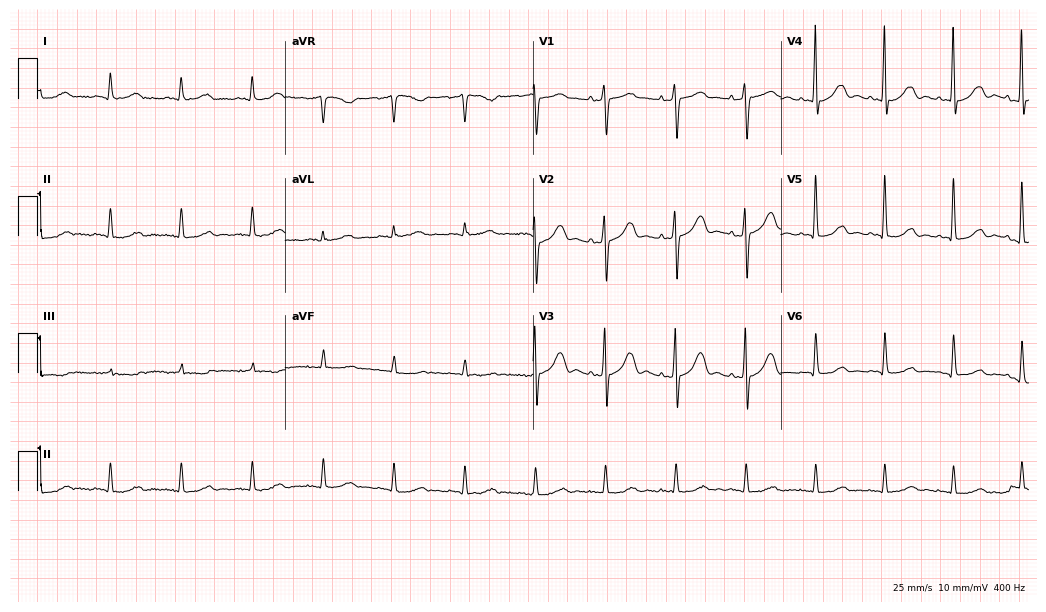
Resting 12-lead electrocardiogram (10.1-second recording at 400 Hz). Patient: a female, 68 years old. None of these six findings is recorded: first-degree AV block, right bundle branch block, left bundle branch block, sinus bradycardia, atrial fibrillation, sinus tachycardia. Other findings, if any, are not listed.